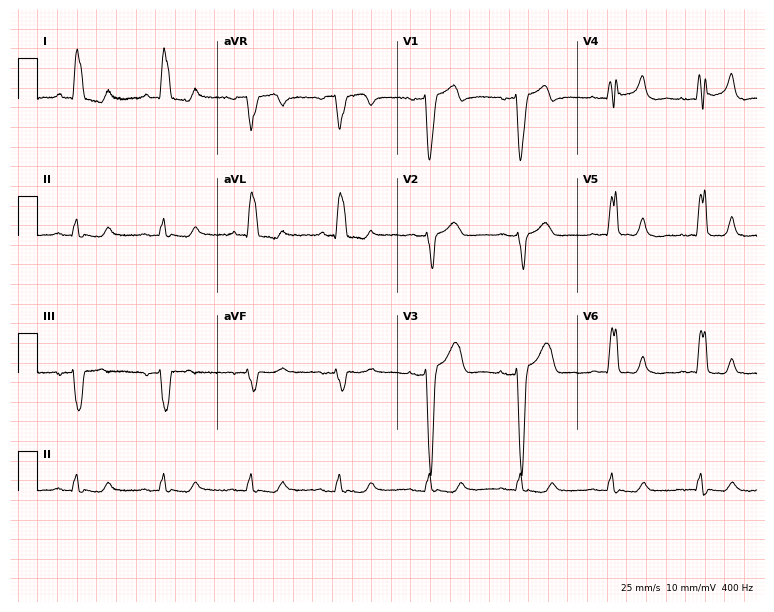
ECG (7.3-second recording at 400 Hz) — a female patient, 77 years old. Findings include left bundle branch block (LBBB).